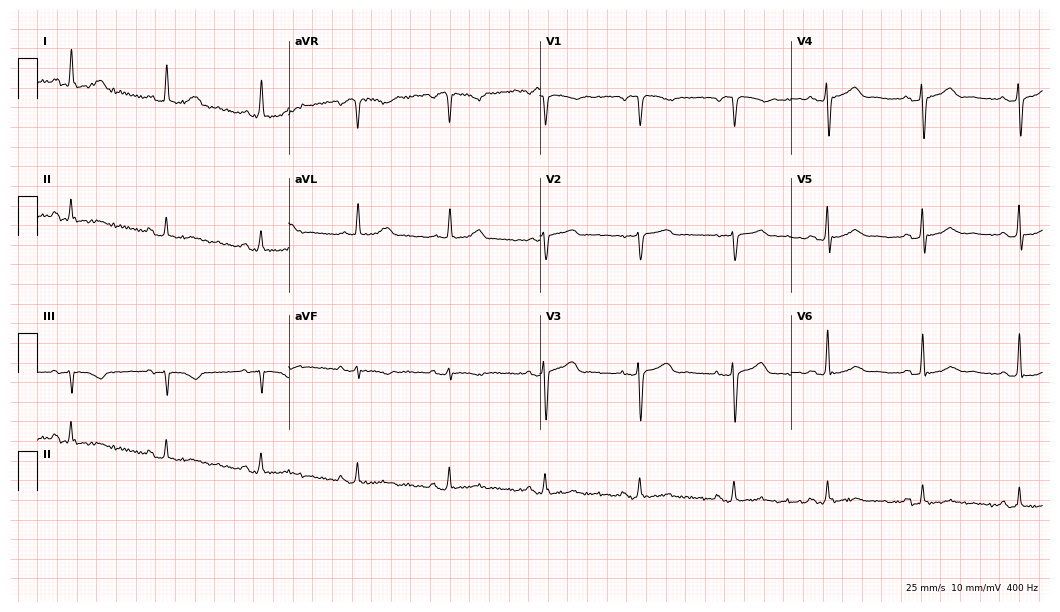
Electrocardiogram (10.2-second recording at 400 Hz), a female, 62 years old. Overall reading on record: normal ECG.